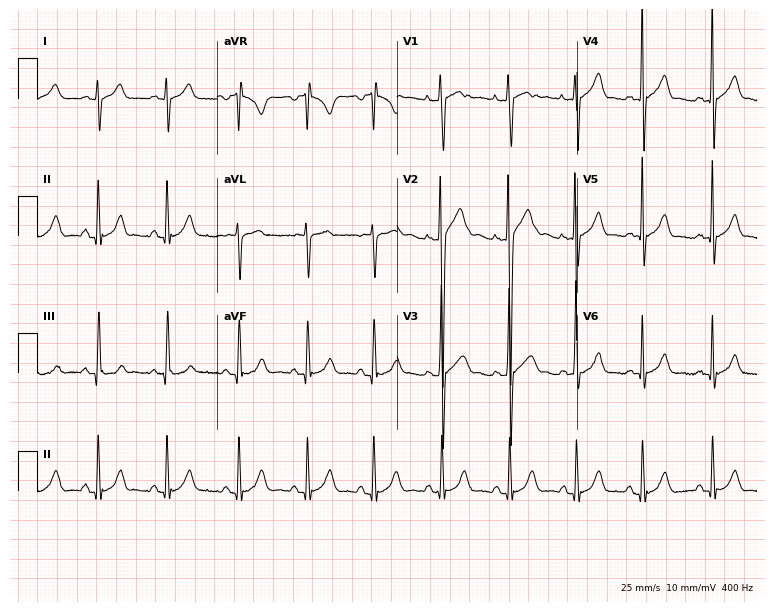
Resting 12-lead electrocardiogram (7.3-second recording at 400 Hz). Patient: a male, 17 years old. None of these six findings is recorded: first-degree AV block, right bundle branch block, left bundle branch block, sinus bradycardia, atrial fibrillation, sinus tachycardia. Other findings, if any, are not listed.